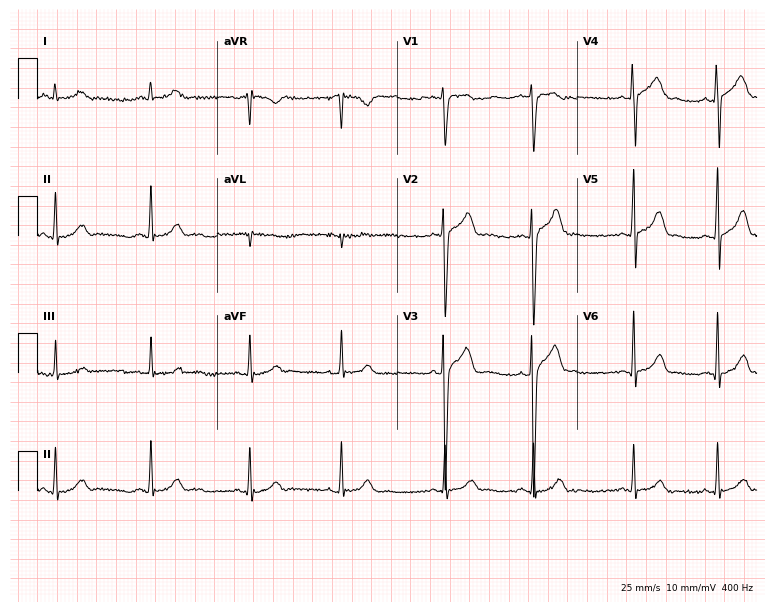
Resting 12-lead electrocardiogram. Patient: a 20-year-old man. Read as a normal ECG.